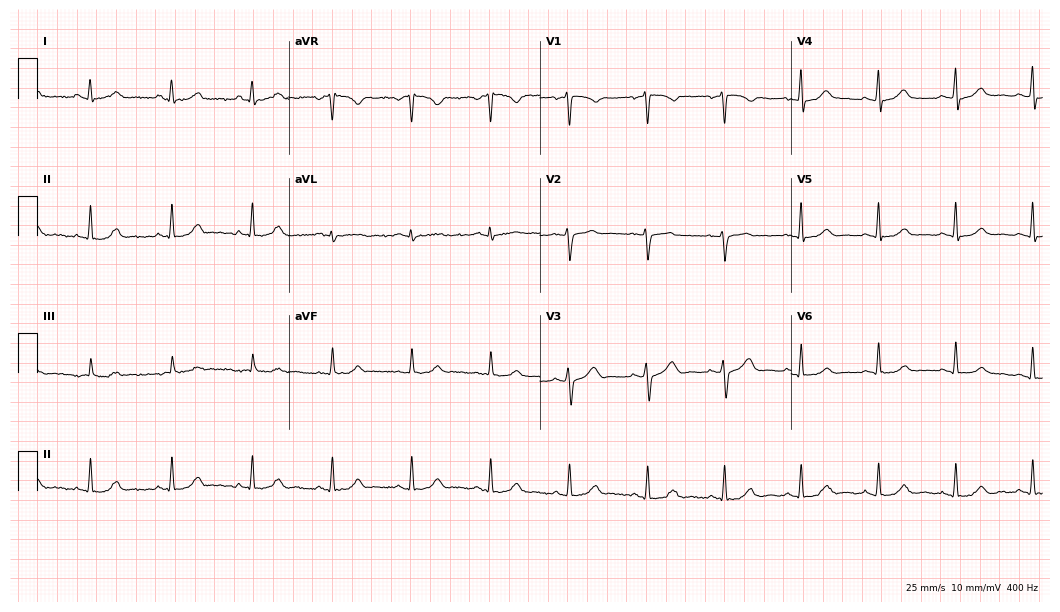
Resting 12-lead electrocardiogram (10.2-second recording at 400 Hz). Patient: a female, 47 years old. Read as a normal ECG.